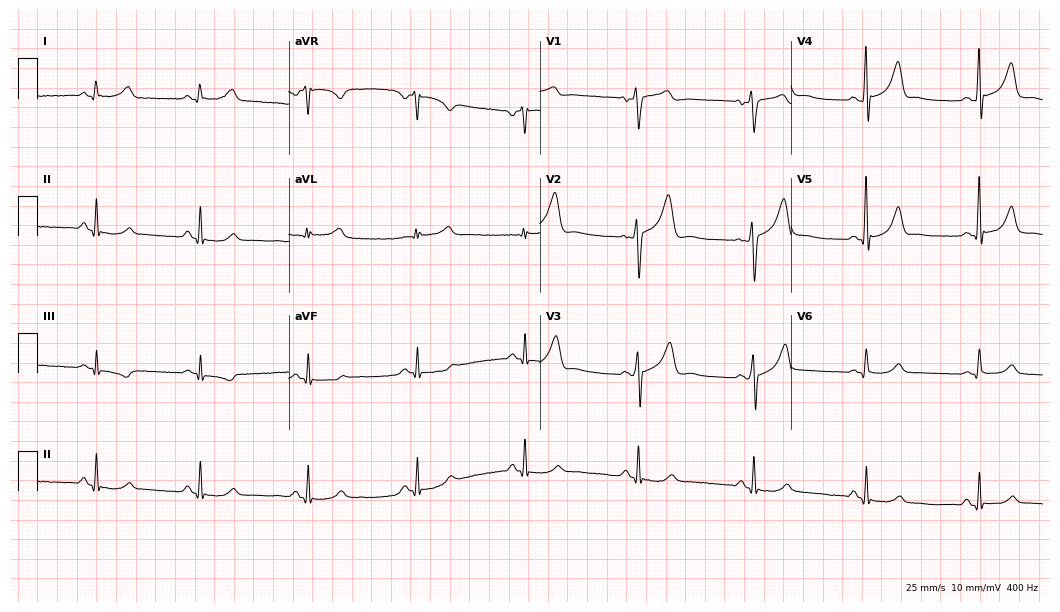
12-lead ECG from a man, 51 years old. Screened for six findings — first-degree AV block, right bundle branch block, left bundle branch block, sinus bradycardia, atrial fibrillation, sinus tachycardia — none is recorded.